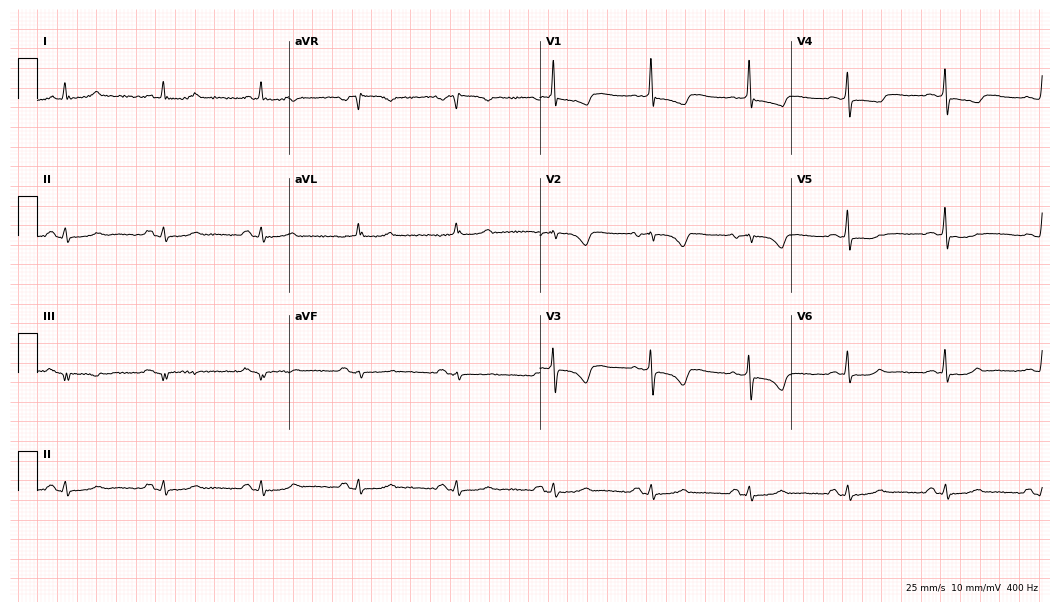
12-lead ECG from a female patient, 59 years old. No first-degree AV block, right bundle branch block (RBBB), left bundle branch block (LBBB), sinus bradycardia, atrial fibrillation (AF) or sinus tachycardia recorded for this tracing.